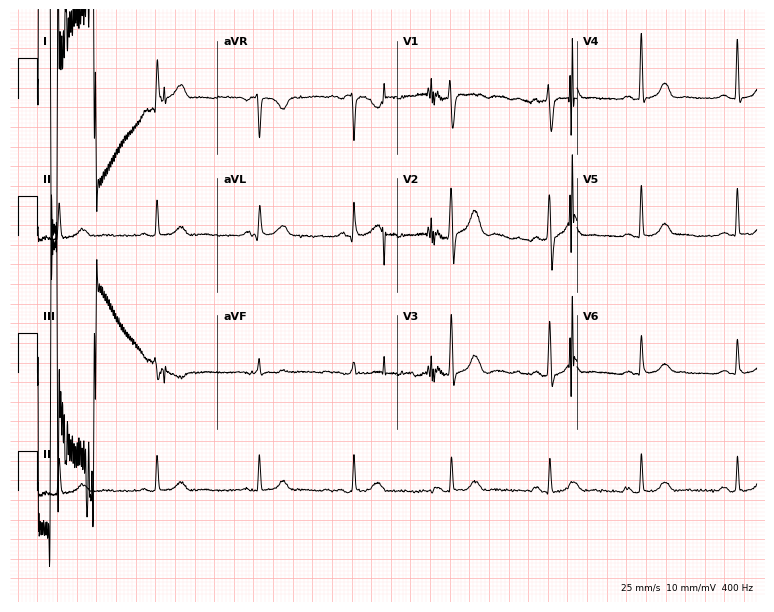
Resting 12-lead electrocardiogram (7.3-second recording at 400 Hz). Patient: a 63-year-old man. None of these six findings is recorded: first-degree AV block, right bundle branch block, left bundle branch block, sinus bradycardia, atrial fibrillation, sinus tachycardia. Findings outside these six are not listed.